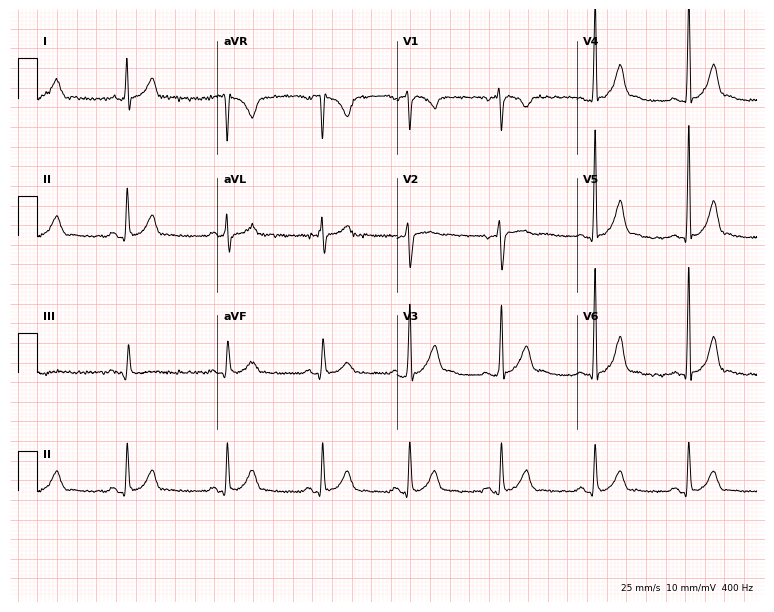
ECG (7.3-second recording at 400 Hz) — a male, 30 years old. Labelled as a normal ECG.